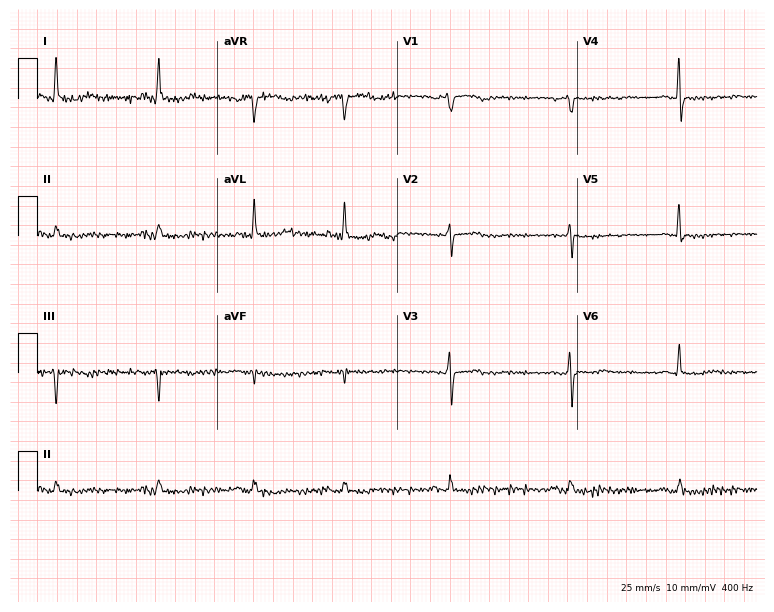
ECG — a 74-year-old female. Screened for six findings — first-degree AV block, right bundle branch block (RBBB), left bundle branch block (LBBB), sinus bradycardia, atrial fibrillation (AF), sinus tachycardia — none is recorded. Other findings, if any, are not listed.